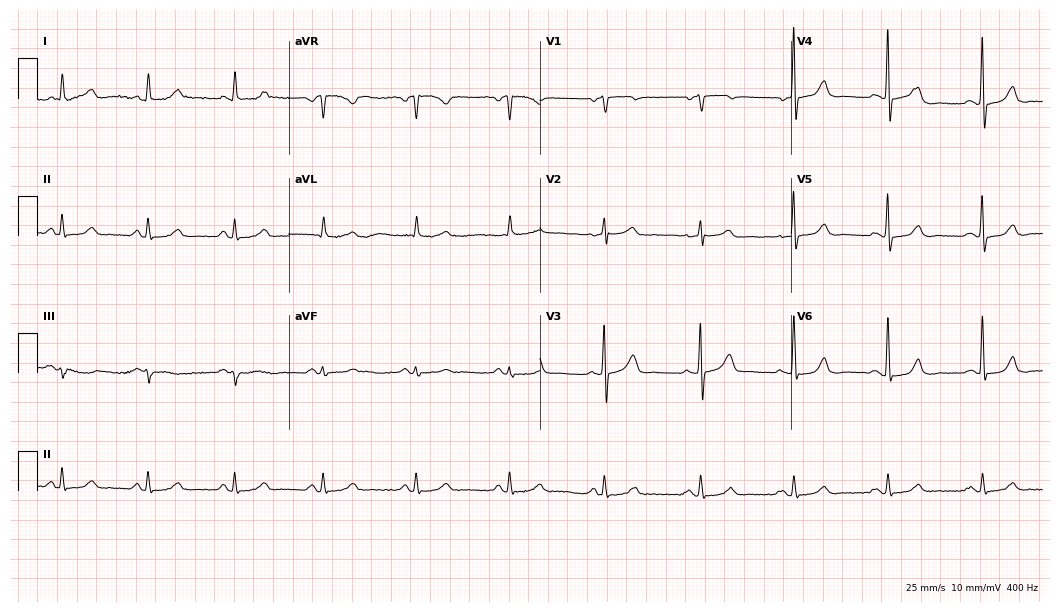
Electrocardiogram (10.2-second recording at 400 Hz), a male patient, 84 years old. Overall reading on record: normal ECG.